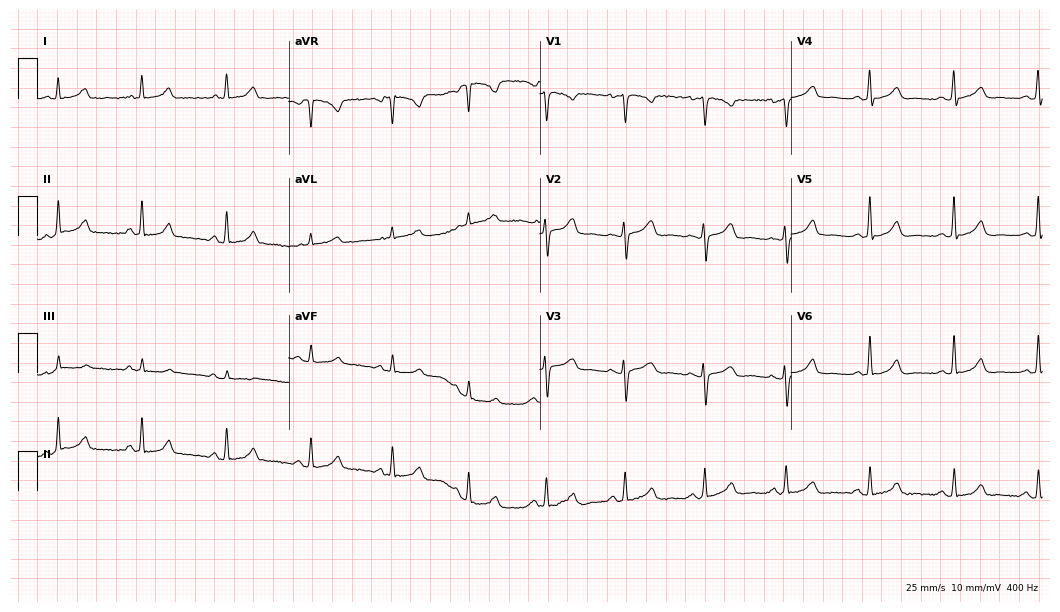
Electrocardiogram (10.2-second recording at 400 Hz), a 47-year-old woman. Overall reading on record: normal ECG.